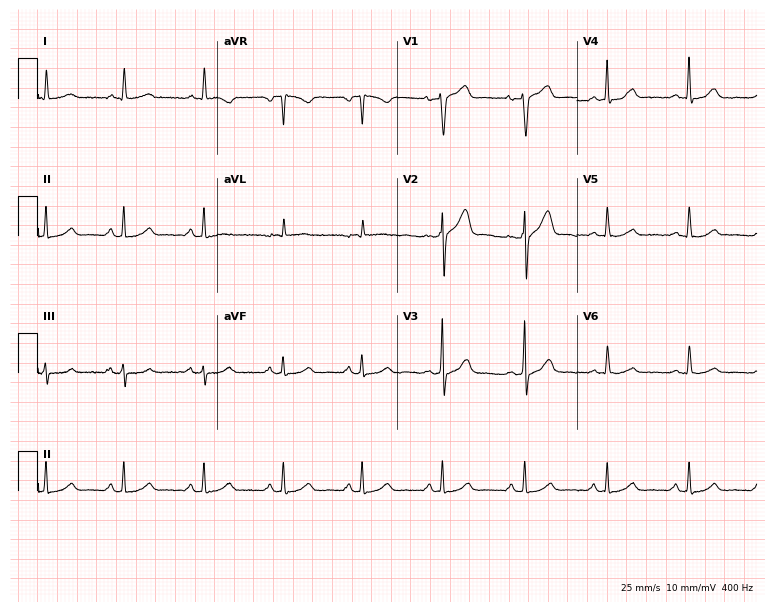
Resting 12-lead electrocardiogram (7.3-second recording at 400 Hz). Patient: a male, 55 years old. Read as a normal ECG.